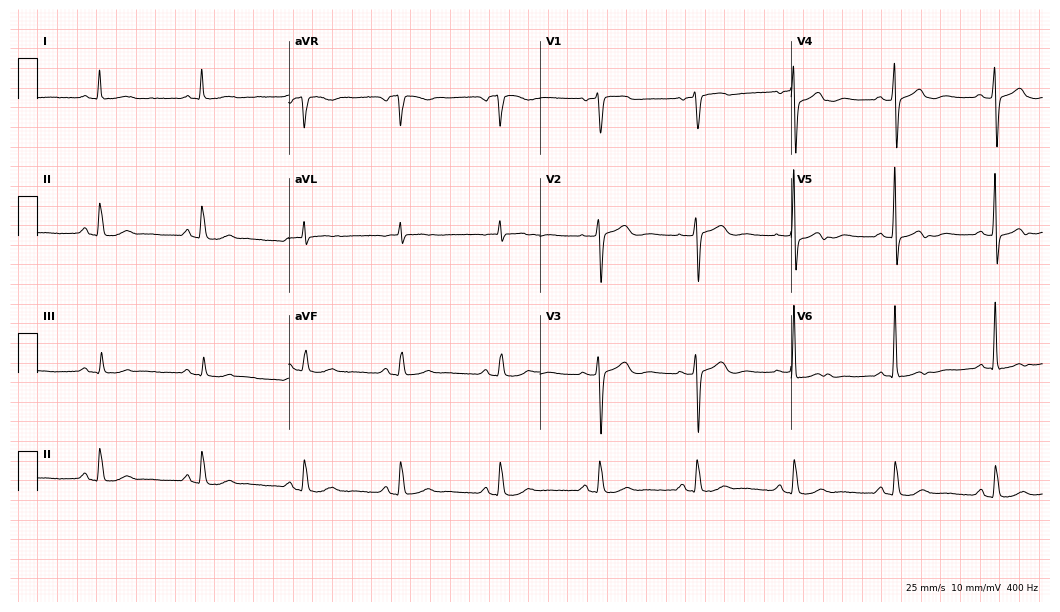
12-lead ECG from a female patient, 76 years old. No first-degree AV block, right bundle branch block (RBBB), left bundle branch block (LBBB), sinus bradycardia, atrial fibrillation (AF) or sinus tachycardia recorded for this tracing.